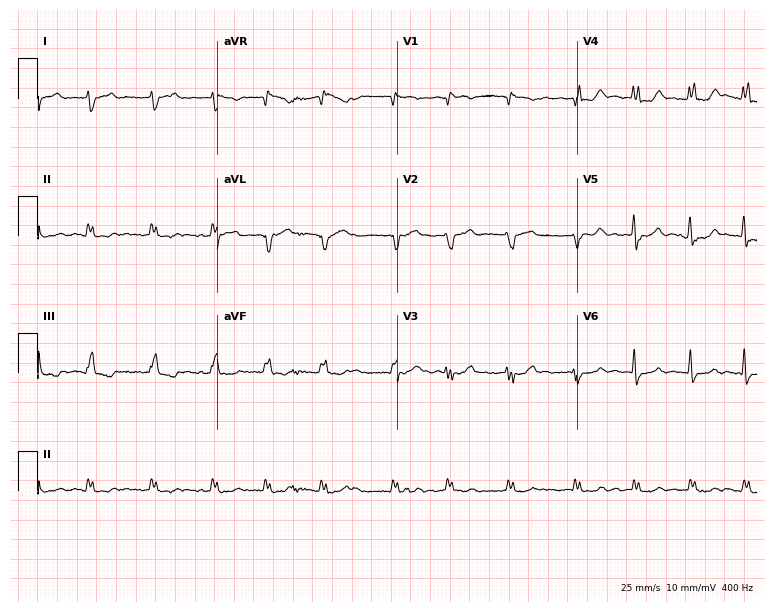
Electrocardiogram, an 81-year-old female patient. Interpretation includes atrial fibrillation (AF).